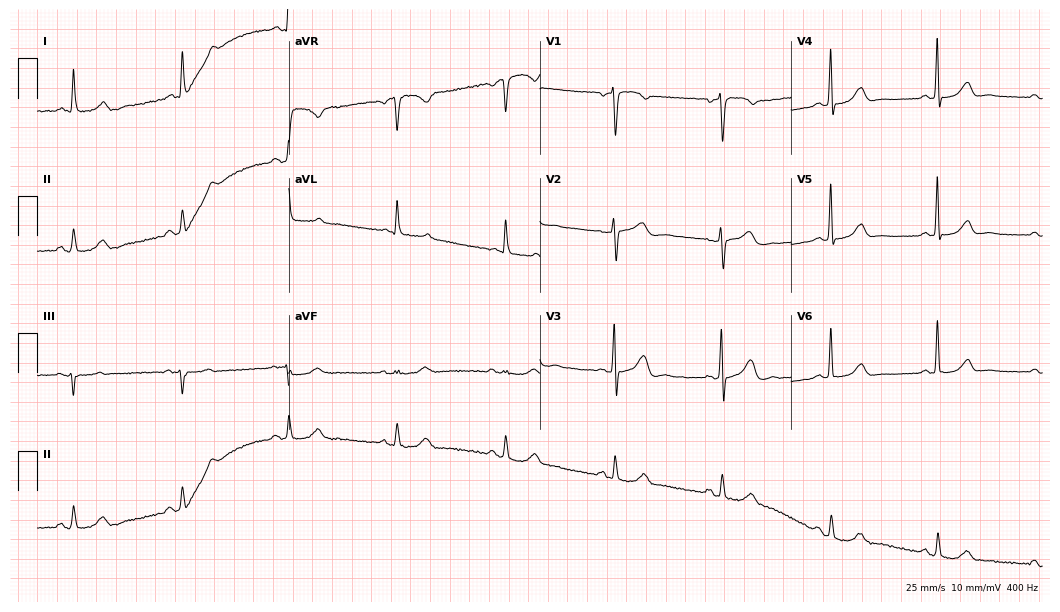
Standard 12-lead ECG recorded from a 65-year-old woman. None of these six findings is recorded: first-degree AV block, right bundle branch block, left bundle branch block, sinus bradycardia, atrial fibrillation, sinus tachycardia. Only these six findings were labelled.